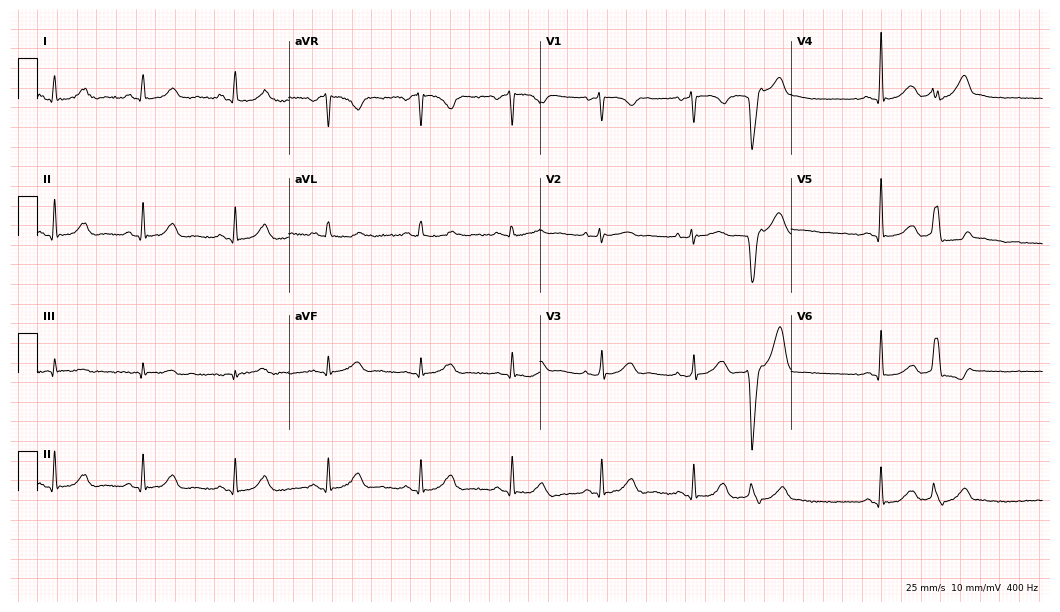
12-lead ECG from a 53-year-old female. Recorded interpretation: within normal limits.